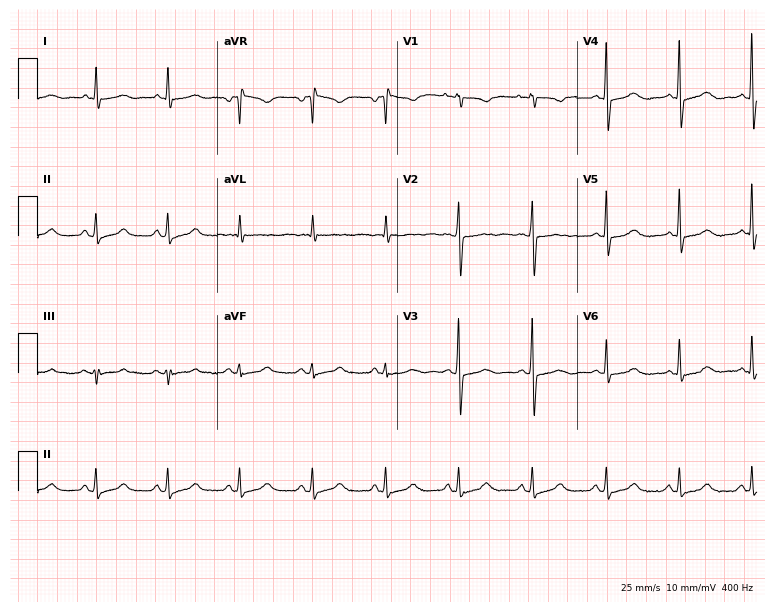
Resting 12-lead electrocardiogram (7.3-second recording at 400 Hz). Patient: a female, 69 years old. Read as a normal ECG.